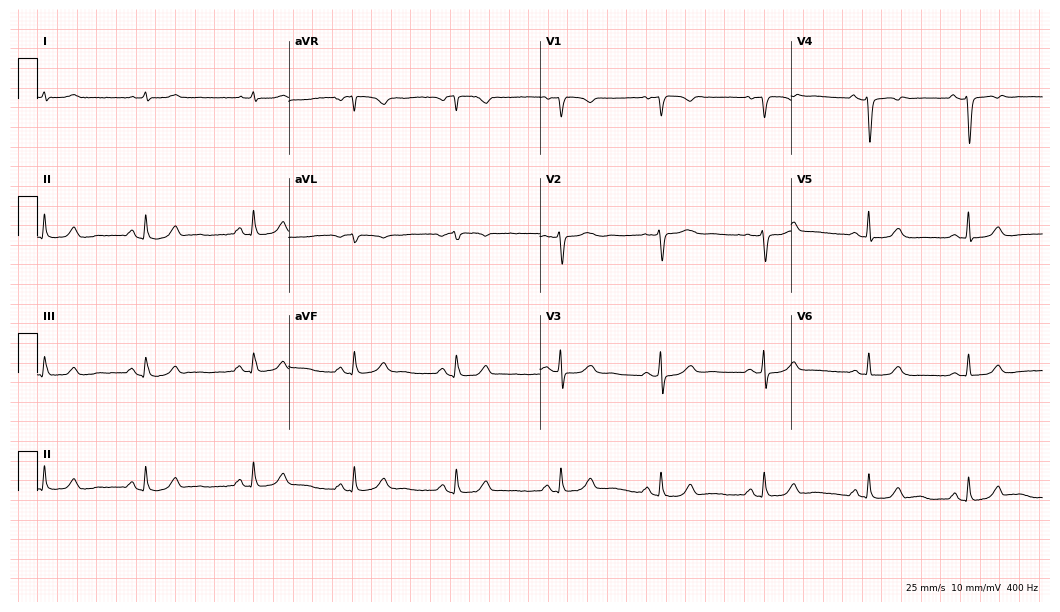
Resting 12-lead electrocardiogram (10.2-second recording at 400 Hz). Patient: a woman, 55 years old. None of these six findings is recorded: first-degree AV block, right bundle branch block, left bundle branch block, sinus bradycardia, atrial fibrillation, sinus tachycardia.